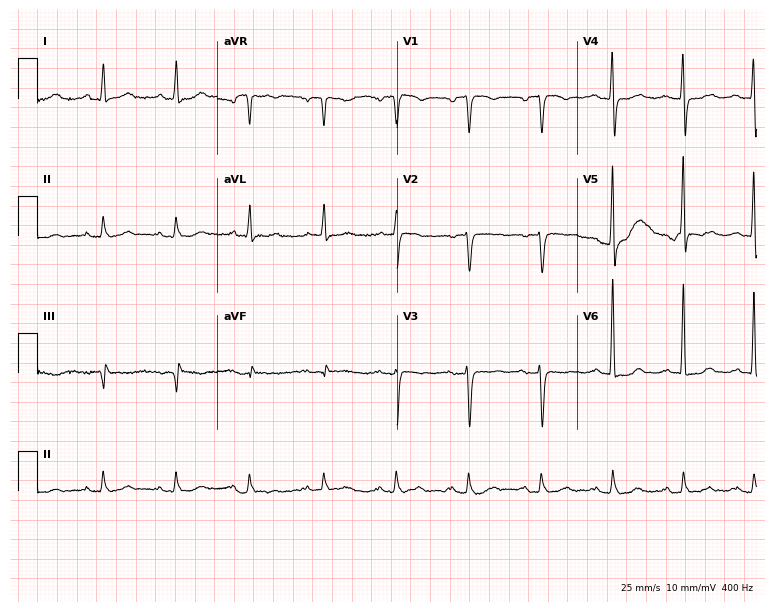
Resting 12-lead electrocardiogram (7.3-second recording at 400 Hz). Patient: a 63-year-old female. None of these six findings is recorded: first-degree AV block, right bundle branch block, left bundle branch block, sinus bradycardia, atrial fibrillation, sinus tachycardia. Findings outside these six are not listed.